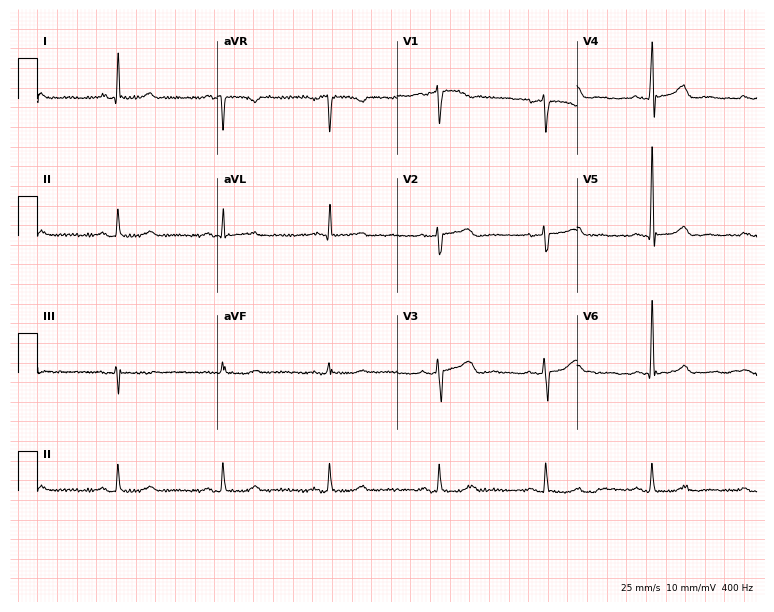
12-lead ECG (7.3-second recording at 400 Hz) from a woman, 52 years old. Labelled as a normal ECG.